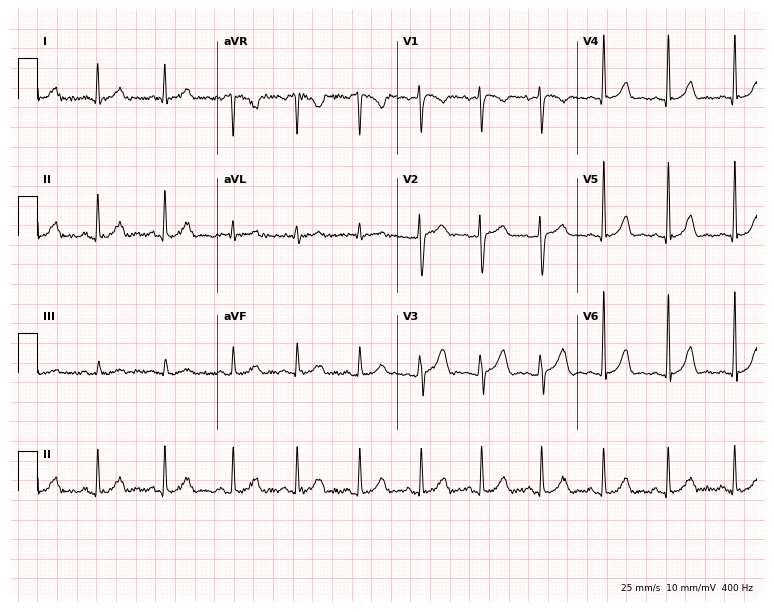
ECG — a female patient, 76 years old. Labelled as a normal ECG.